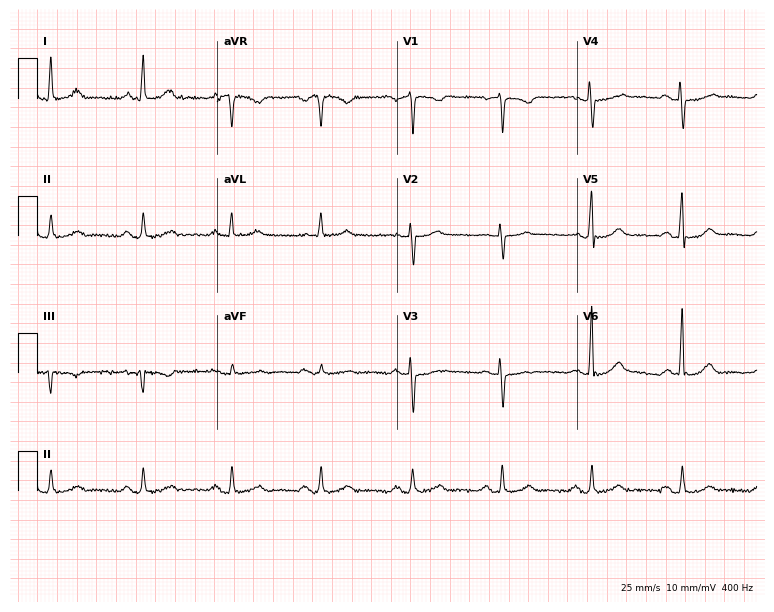
Resting 12-lead electrocardiogram (7.3-second recording at 400 Hz). Patient: a 63-year-old female. None of these six findings is recorded: first-degree AV block, right bundle branch block, left bundle branch block, sinus bradycardia, atrial fibrillation, sinus tachycardia.